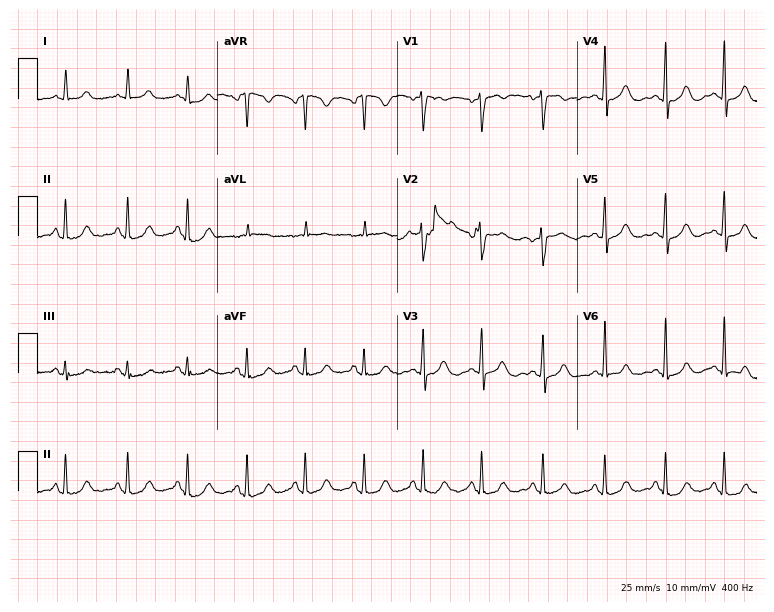
12-lead ECG from a woman, 46 years old. No first-degree AV block, right bundle branch block (RBBB), left bundle branch block (LBBB), sinus bradycardia, atrial fibrillation (AF) or sinus tachycardia recorded for this tracing. Other findings, if any, are not listed.